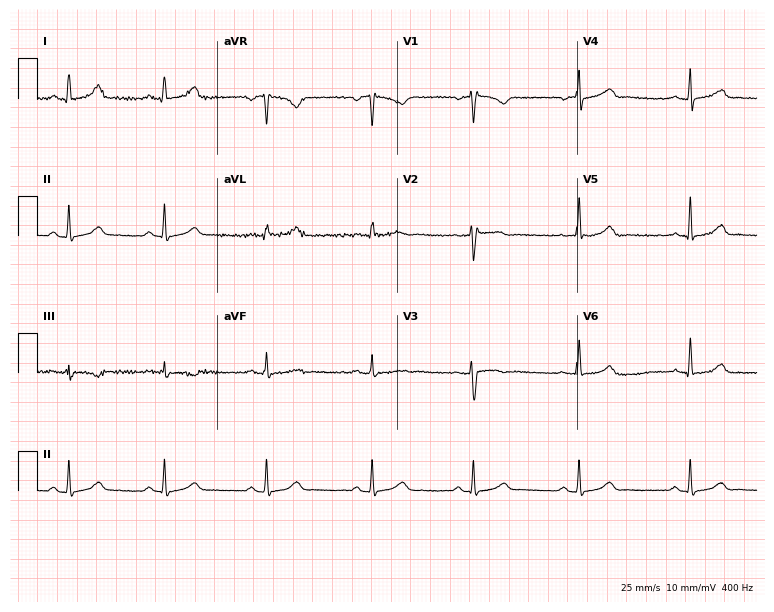
ECG — a 41-year-old female. Screened for six findings — first-degree AV block, right bundle branch block (RBBB), left bundle branch block (LBBB), sinus bradycardia, atrial fibrillation (AF), sinus tachycardia — none is recorded.